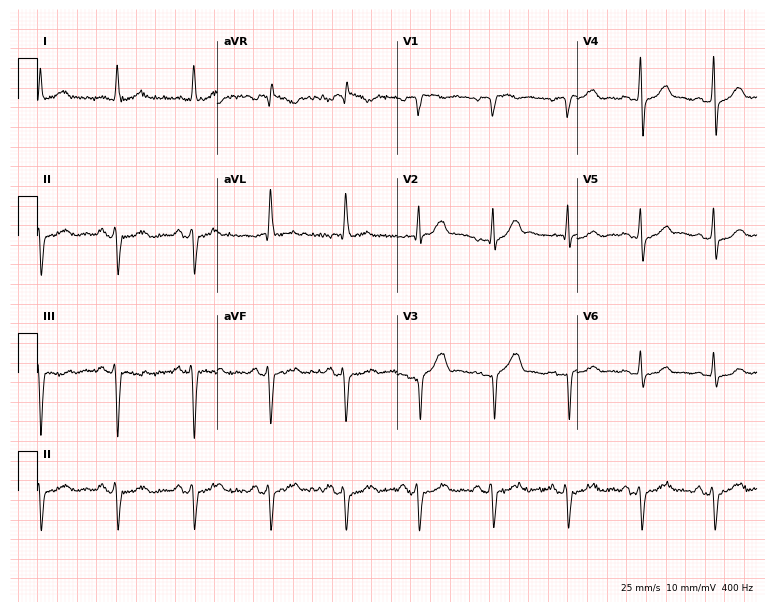
Electrocardiogram (7.3-second recording at 400 Hz), a man, 48 years old. Of the six screened findings (first-degree AV block, right bundle branch block, left bundle branch block, sinus bradycardia, atrial fibrillation, sinus tachycardia), none is recorded.